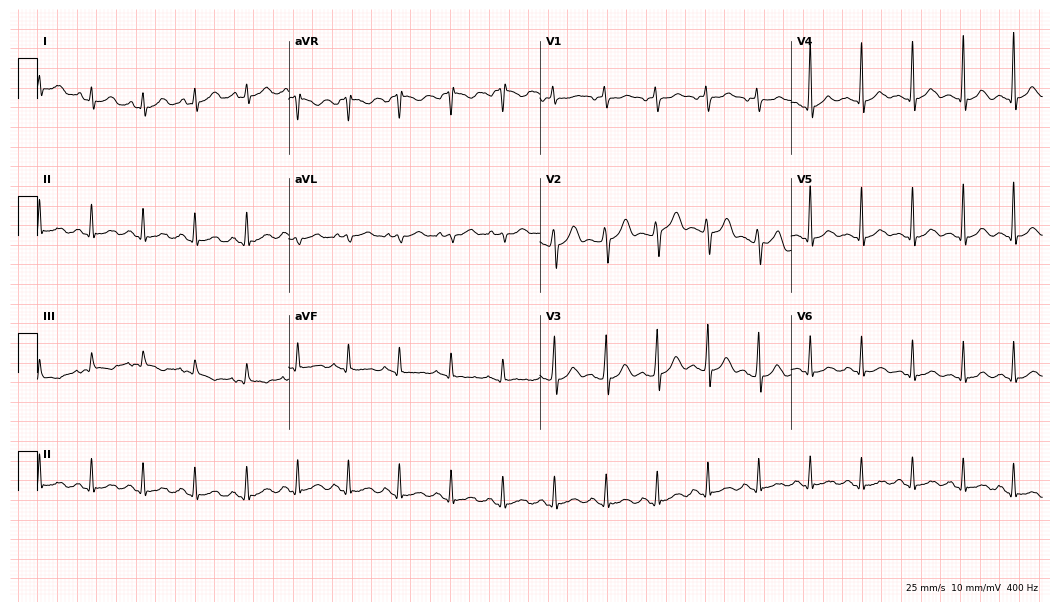
Resting 12-lead electrocardiogram (10.2-second recording at 400 Hz). Patient: a 36-year-old female. The tracing shows sinus tachycardia (a sinus rate of 100 beats per minute or more).